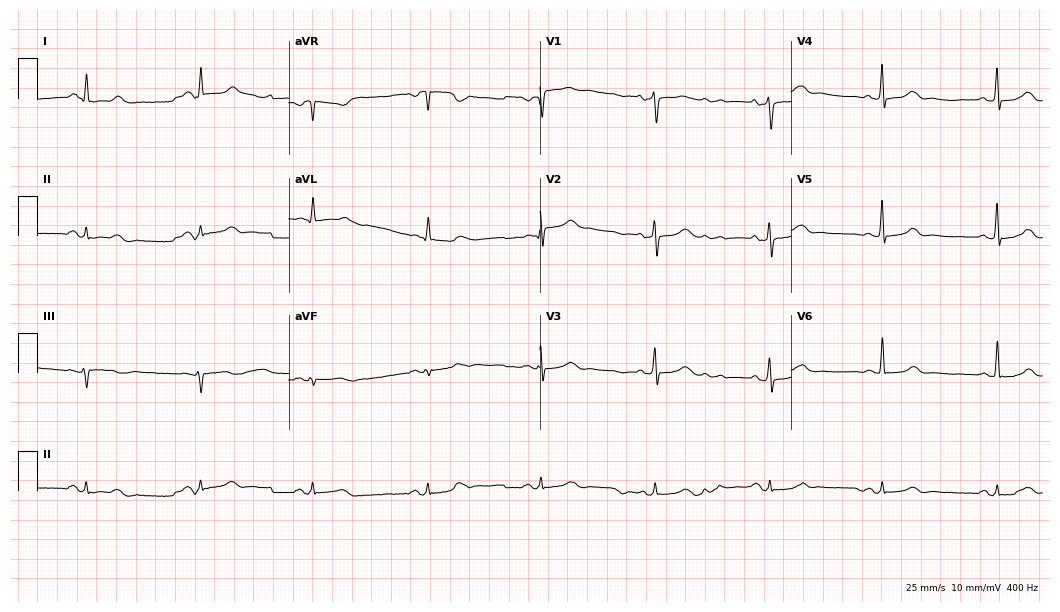
12-lead ECG (10.2-second recording at 400 Hz) from a 71-year-old female. Screened for six findings — first-degree AV block, right bundle branch block, left bundle branch block, sinus bradycardia, atrial fibrillation, sinus tachycardia — none is recorded. Only these six findings were labelled.